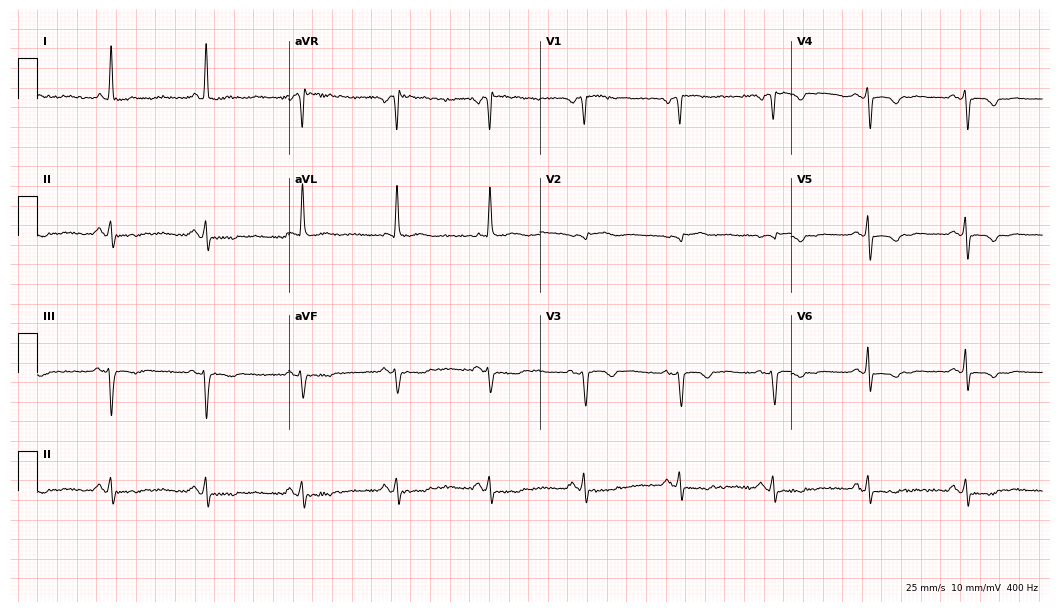
Electrocardiogram (10.2-second recording at 400 Hz), a female patient, 70 years old. Of the six screened findings (first-degree AV block, right bundle branch block, left bundle branch block, sinus bradycardia, atrial fibrillation, sinus tachycardia), none is recorded.